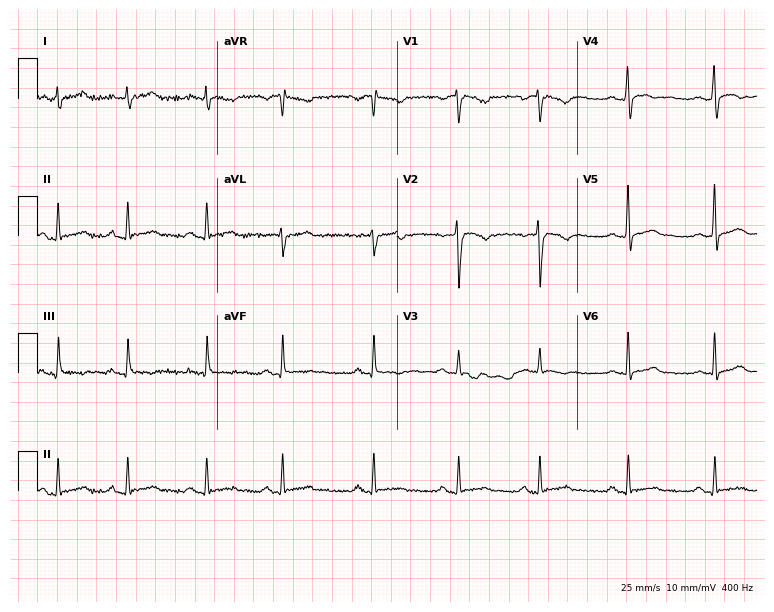
Electrocardiogram, a male patient, 25 years old. Of the six screened findings (first-degree AV block, right bundle branch block (RBBB), left bundle branch block (LBBB), sinus bradycardia, atrial fibrillation (AF), sinus tachycardia), none is recorded. Findings outside these six are not listed.